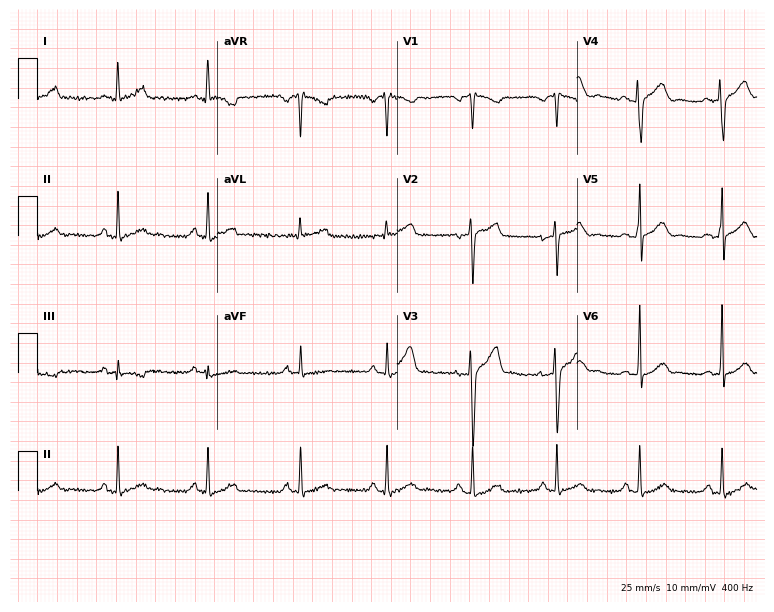
Electrocardiogram (7.3-second recording at 400 Hz), a male, 42 years old. Of the six screened findings (first-degree AV block, right bundle branch block, left bundle branch block, sinus bradycardia, atrial fibrillation, sinus tachycardia), none is recorded.